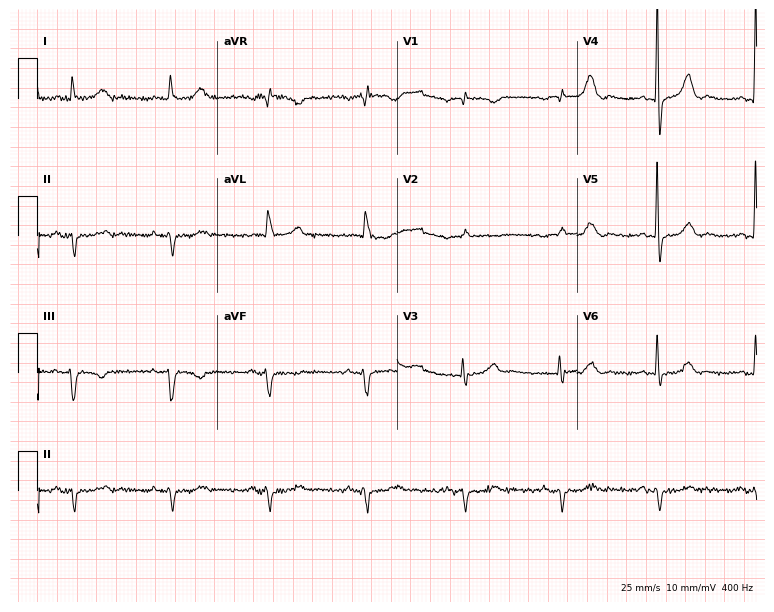
Electrocardiogram (7.3-second recording at 400 Hz), a male, 82 years old. Of the six screened findings (first-degree AV block, right bundle branch block, left bundle branch block, sinus bradycardia, atrial fibrillation, sinus tachycardia), none is recorded. Other findings, if any, are not listed.